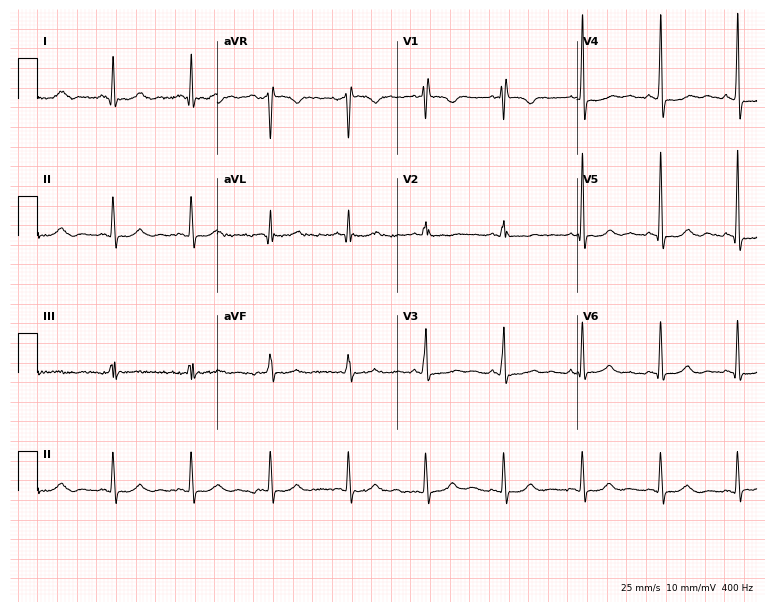
12-lead ECG from a female, 61 years old. No first-degree AV block, right bundle branch block, left bundle branch block, sinus bradycardia, atrial fibrillation or sinus tachycardia recorded for this tracing.